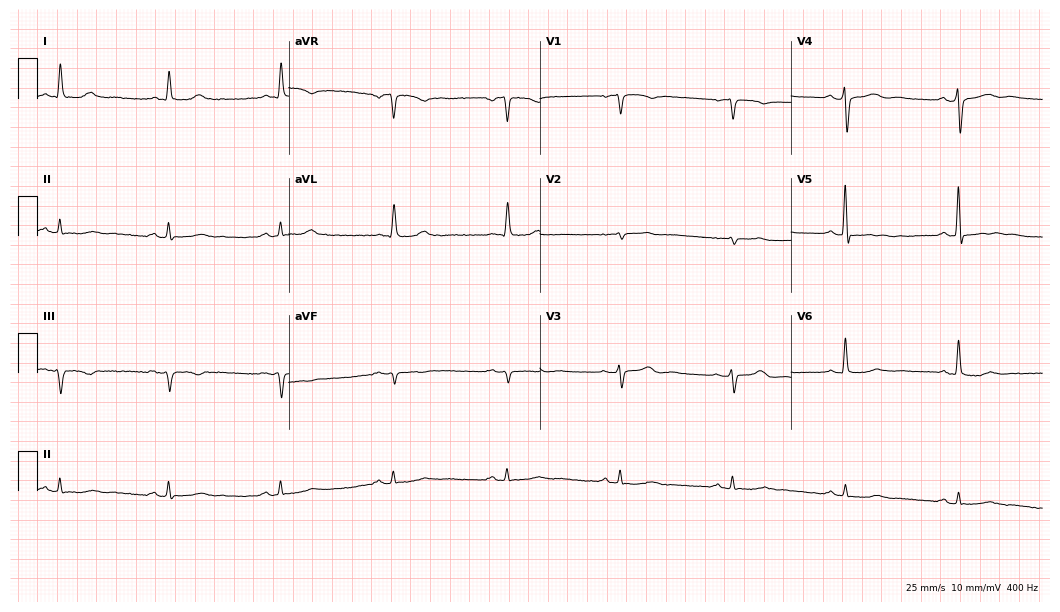
12-lead ECG from an 83-year-old man. Labelled as a normal ECG.